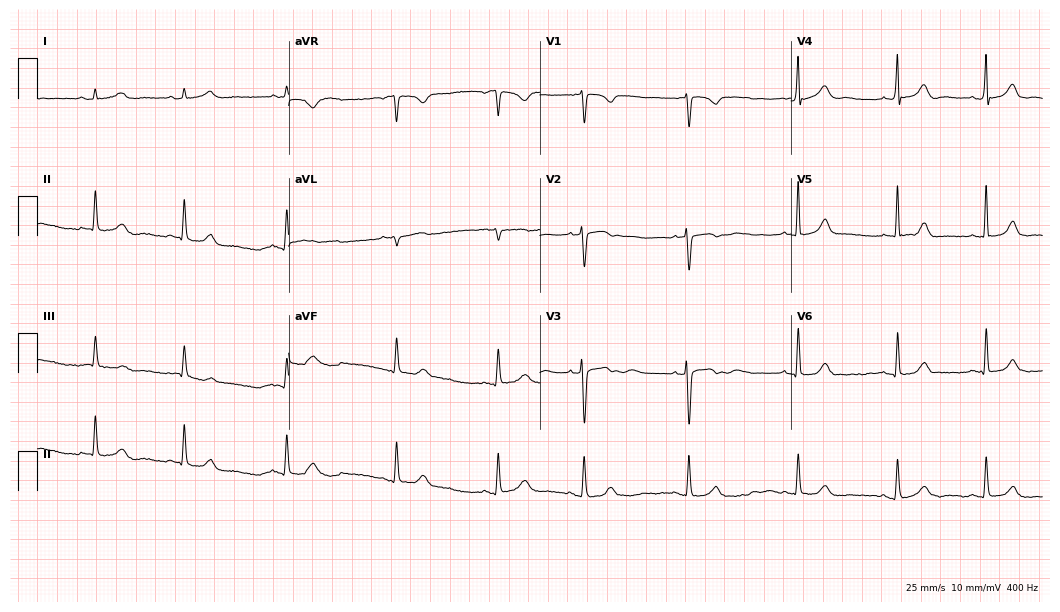
Resting 12-lead electrocardiogram. Patient: a woman, 17 years old. Read as a normal ECG.